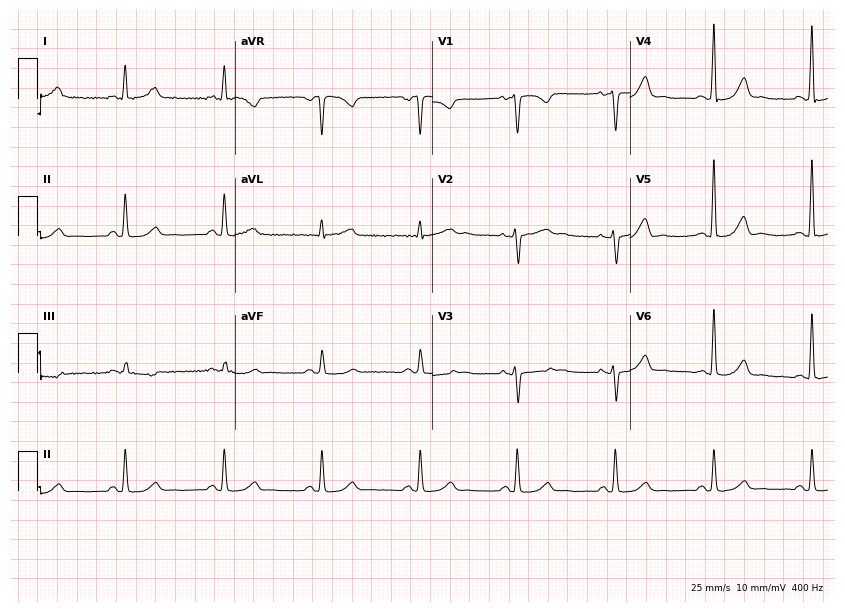
ECG — a female, 45 years old. Labelled as a normal ECG.